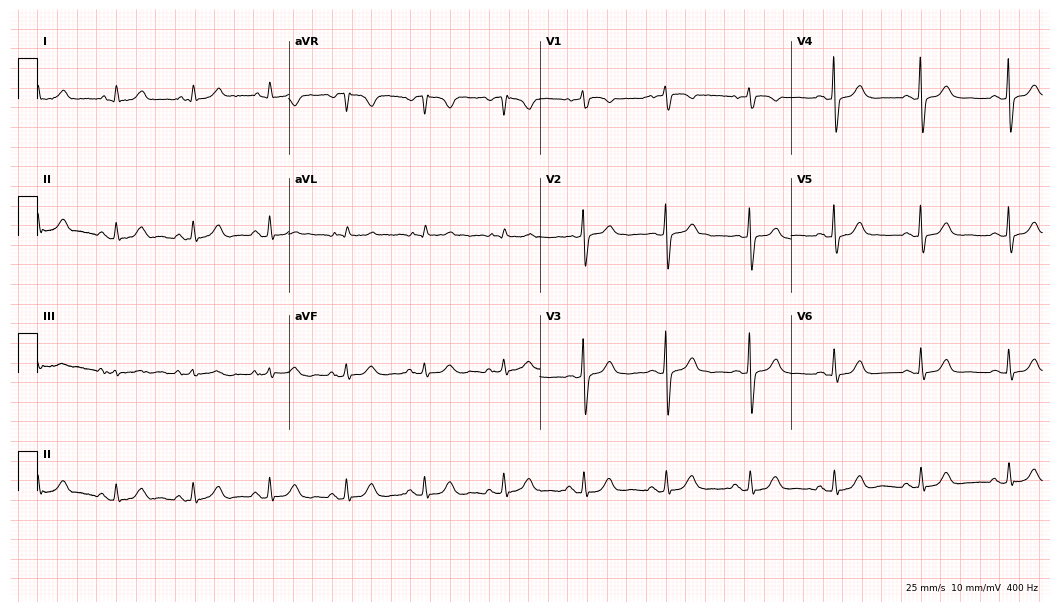
Standard 12-lead ECG recorded from a 73-year-old woman (10.2-second recording at 400 Hz). Read as a normal ECG.